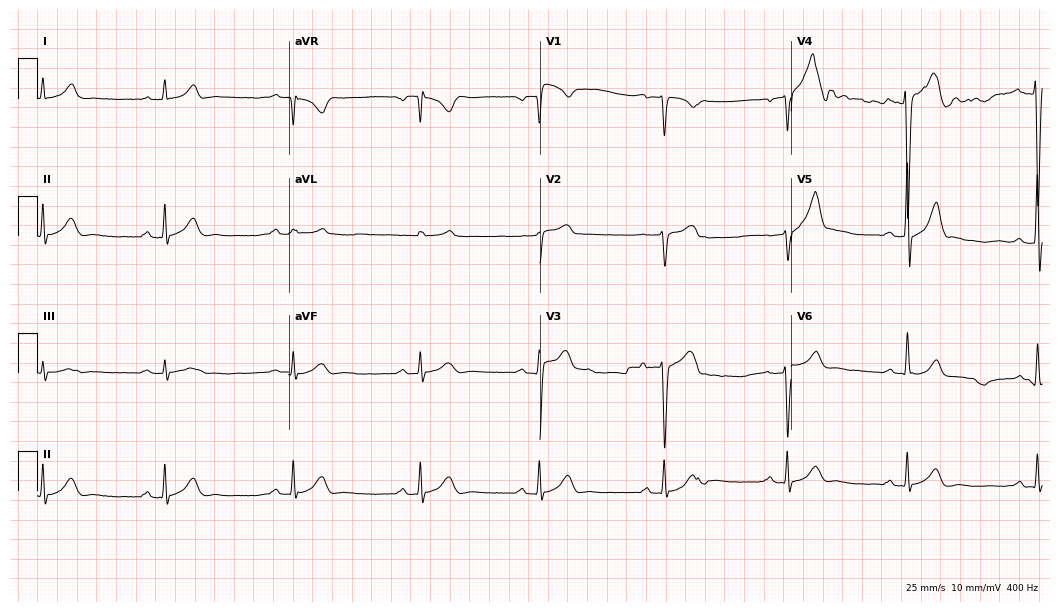
12-lead ECG from a 34-year-old man. Labelled as a normal ECG.